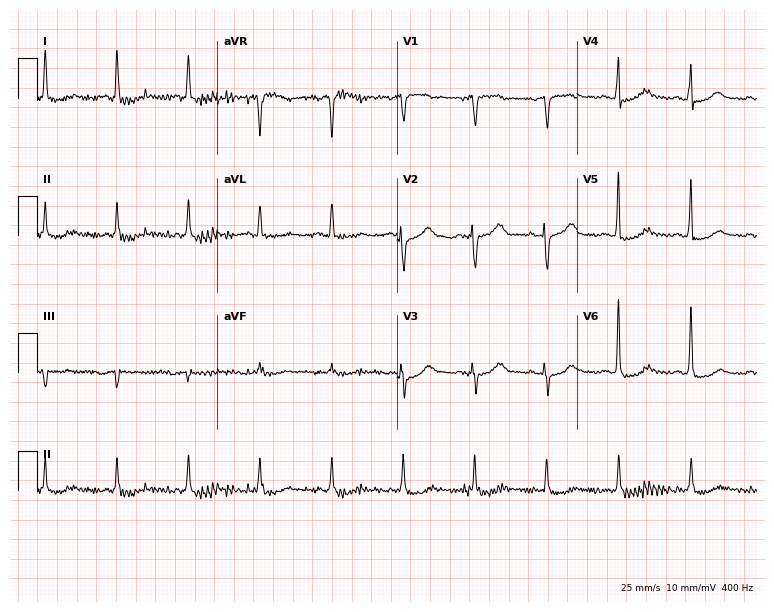
ECG (7.3-second recording at 400 Hz) — a woman, 78 years old. Labelled as a normal ECG.